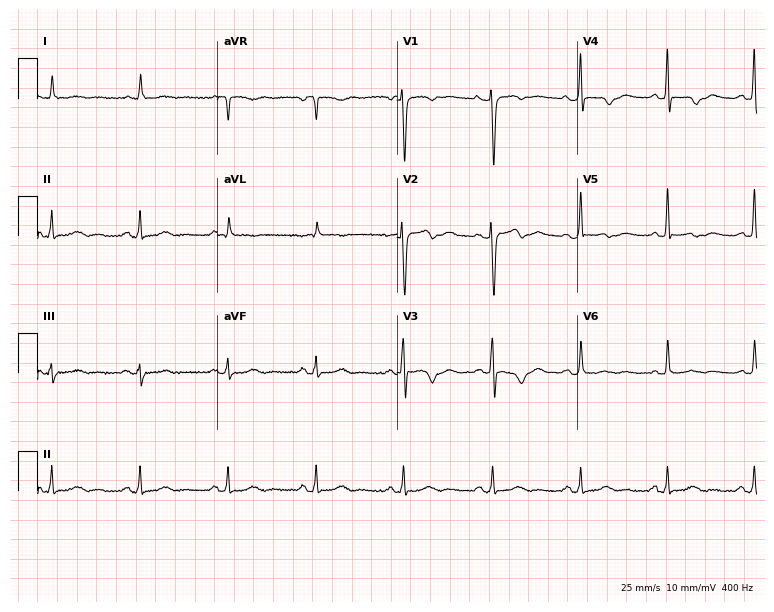
Resting 12-lead electrocardiogram (7.3-second recording at 400 Hz). Patient: a woman, 57 years old. None of these six findings is recorded: first-degree AV block, right bundle branch block (RBBB), left bundle branch block (LBBB), sinus bradycardia, atrial fibrillation (AF), sinus tachycardia.